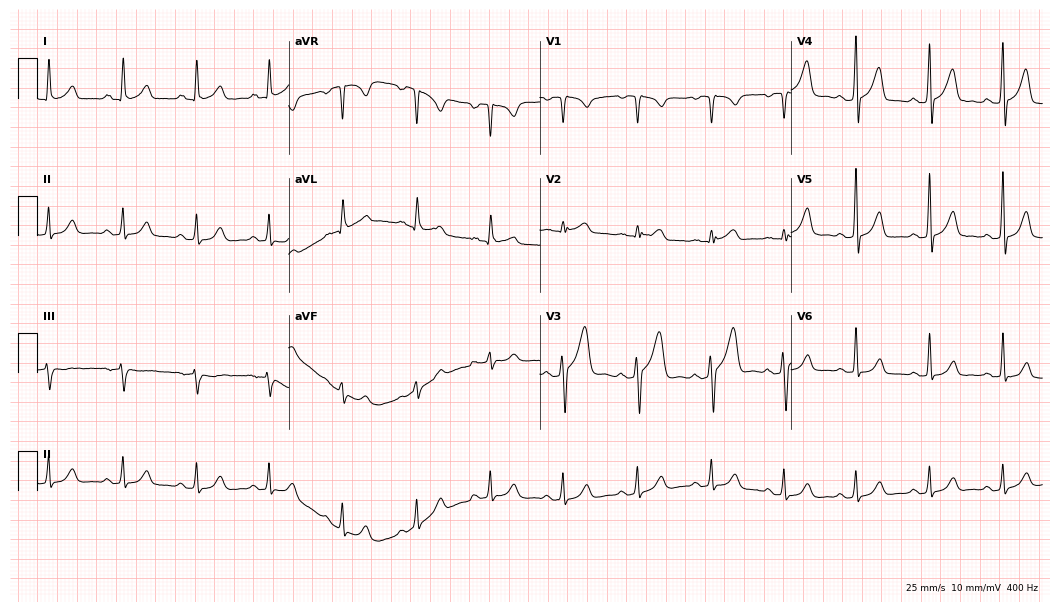
Standard 12-lead ECG recorded from a man, 44 years old. Read as a normal ECG.